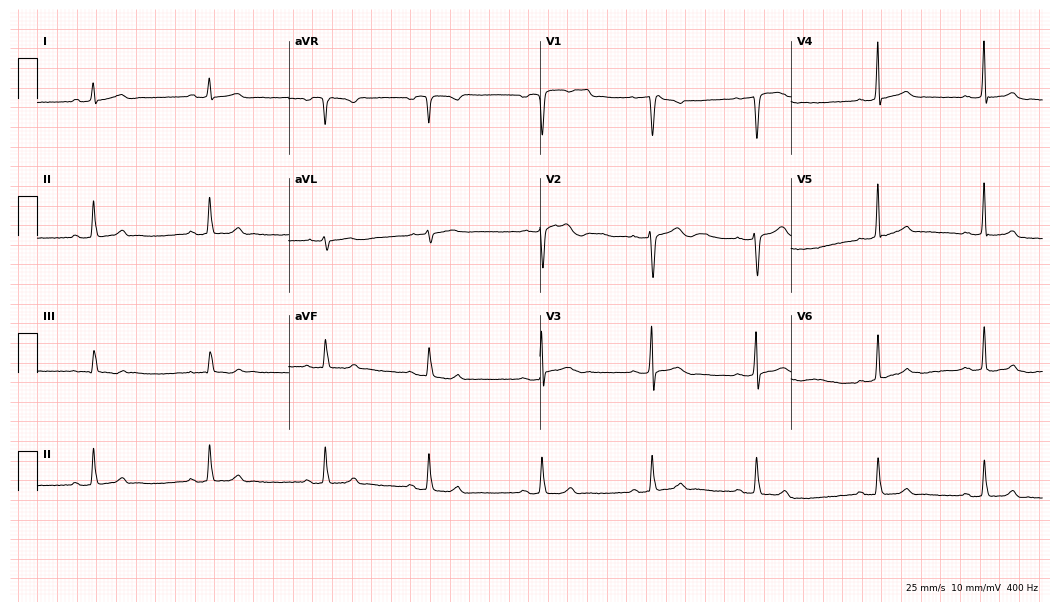
ECG — a female, 25 years old. Screened for six findings — first-degree AV block, right bundle branch block, left bundle branch block, sinus bradycardia, atrial fibrillation, sinus tachycardia — none is recorded.